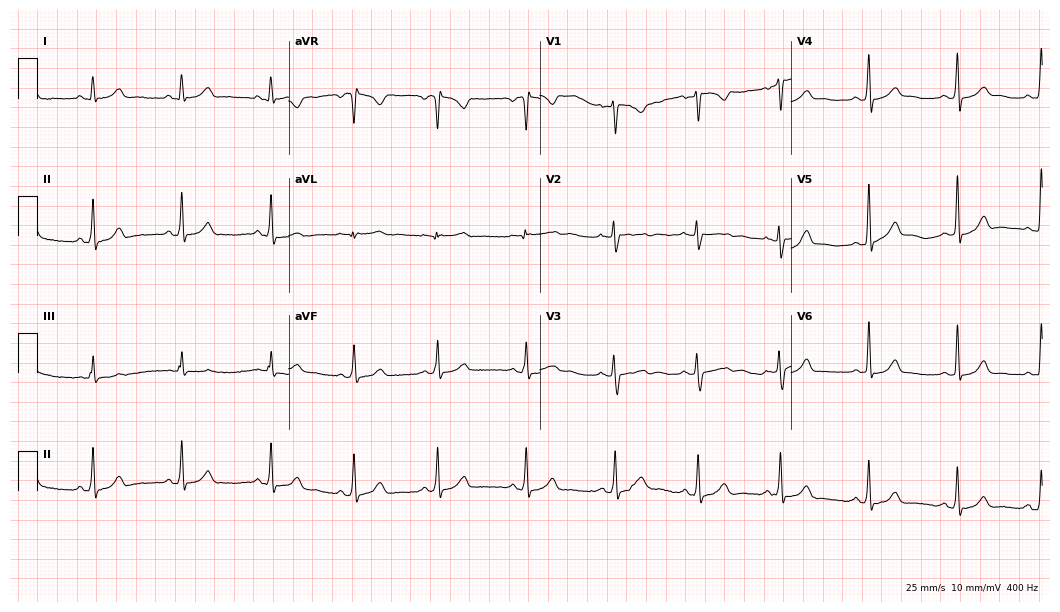
Standard 12-lead ECG recorded from a female patient, 27 years old. Read as a normal ECG.